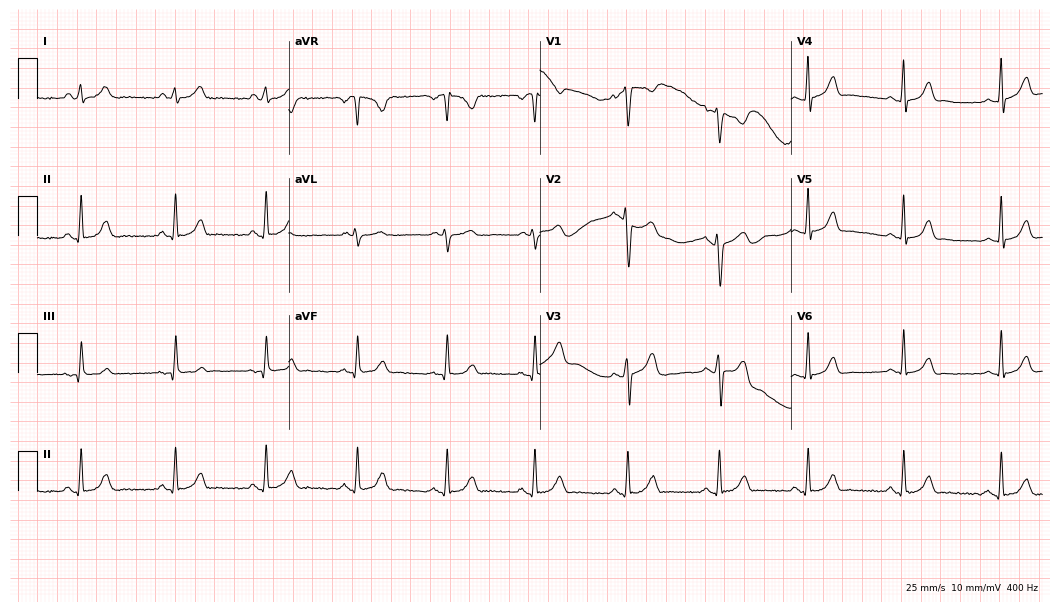
12-lead ECG from a female patient, 29 years old. No first-degree AV block, right bundle branch block, left bundle branch block, sinus bradycardia, atrial fibrillation or sinus tachycardia recorded for this tracing. Only these six findings were labelled.